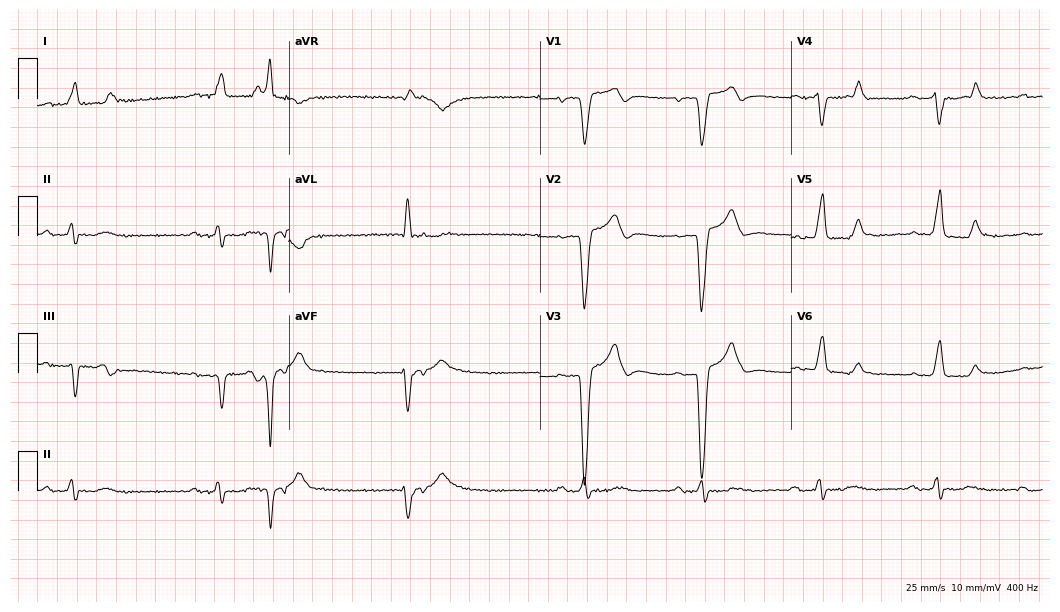
Electrocardiogram (10.2-second recording at 400 Hz), a male patient, 84 years old. Interpretation includes left bundle branch block (LBBB).